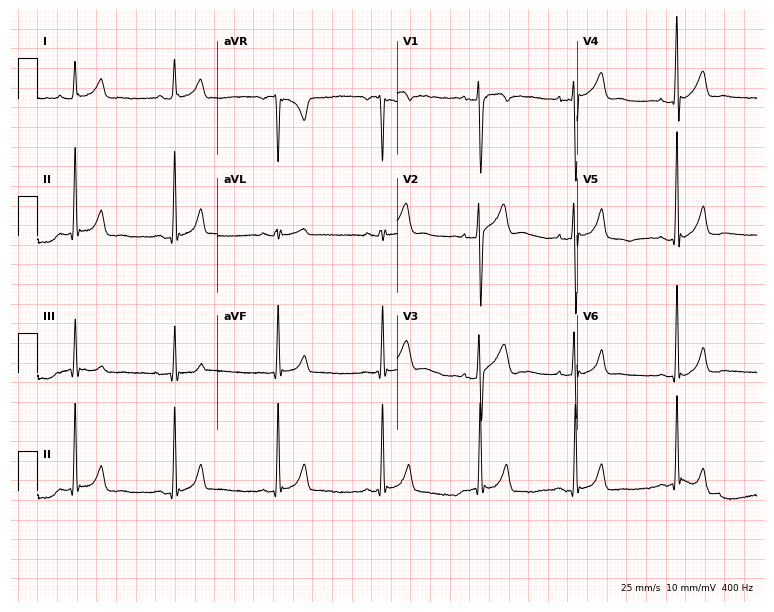
ECG — a male, 25 years old. Labelled as a normal ECG.